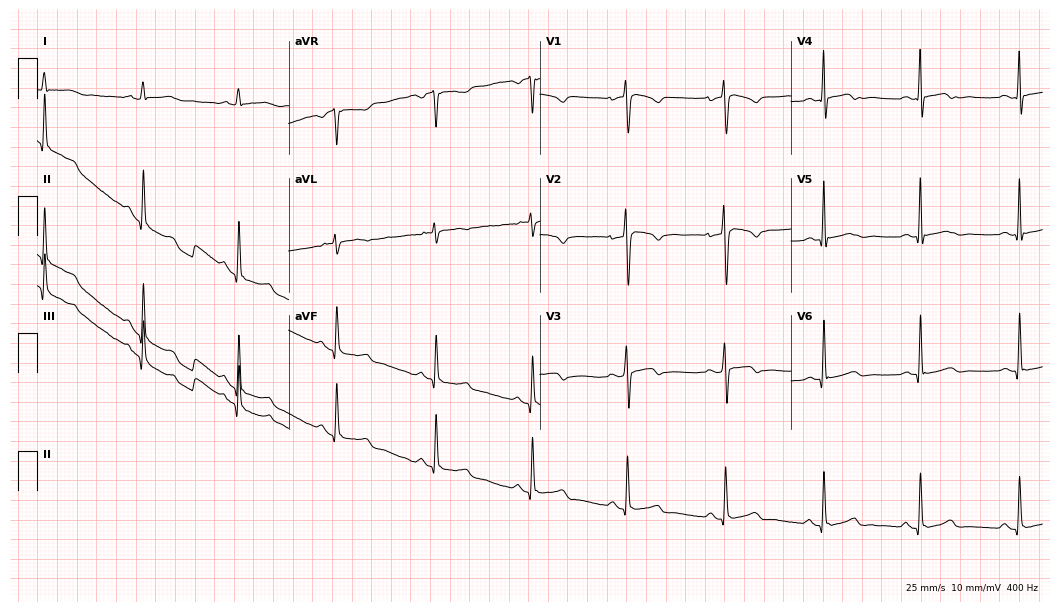
Standard 12-lead ECG recorded from a 50-year-old woman (10.2-second recording at 400 Hz). None of these six findings is recorded: first-degree AV block, right bundle branch block (RBBB), left bundle branch block (LBBB), sinus bradycardia, atrial fibrillation (AF), sinus tachycardia. Findings outside these six are not listed.